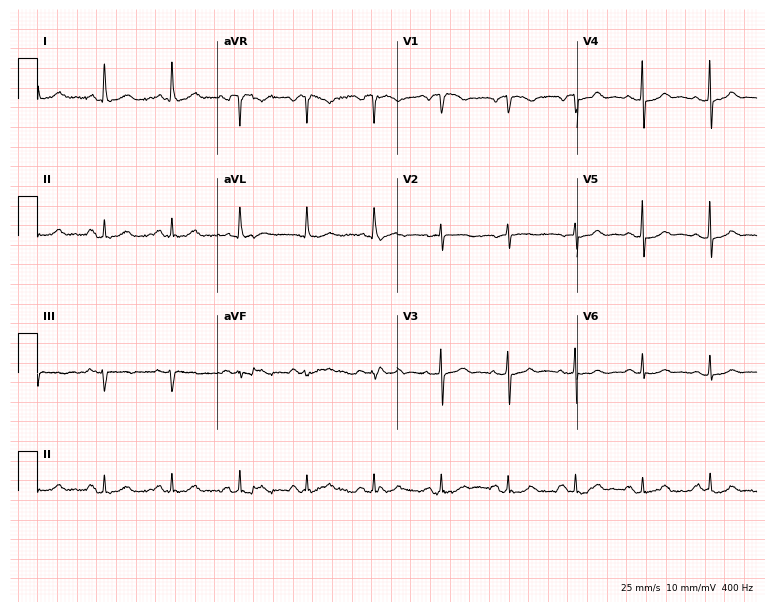
12-lead ECG from a female, 78 years old. No first-degree AV block, right bundle branch block, left bundle branch block, sinus bradycardia, atrial fibrillation or sinus tachycardia recorded for this tracing. Other findings, if any, are not listed.